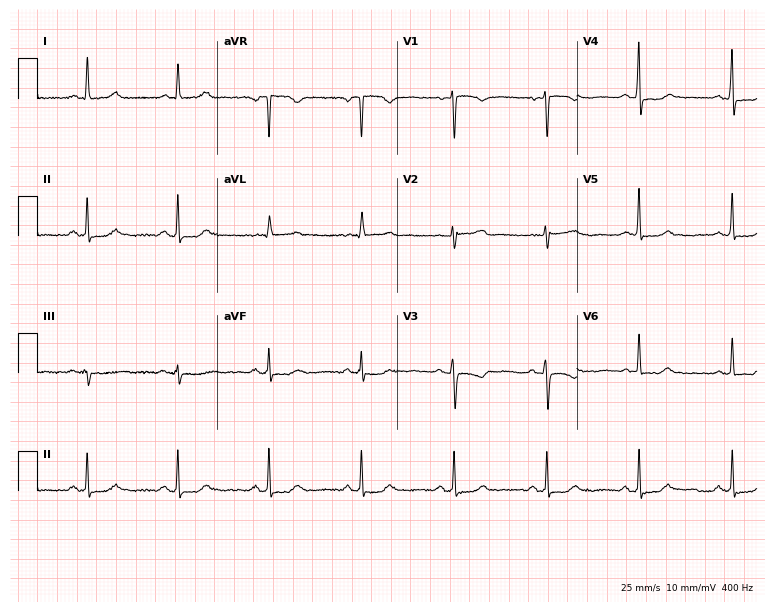
12-lead ECG from a woman, 62 years old (7.3-second recording at 400 Hz). No first-degree AV block, right bundle branch block (RBBB), left bundle branch block (LBBB), sinus bradycardia, atrial fibrillation (AF) or sinus tachycardia recorded for this tracing. Findings outside these six are not listed.